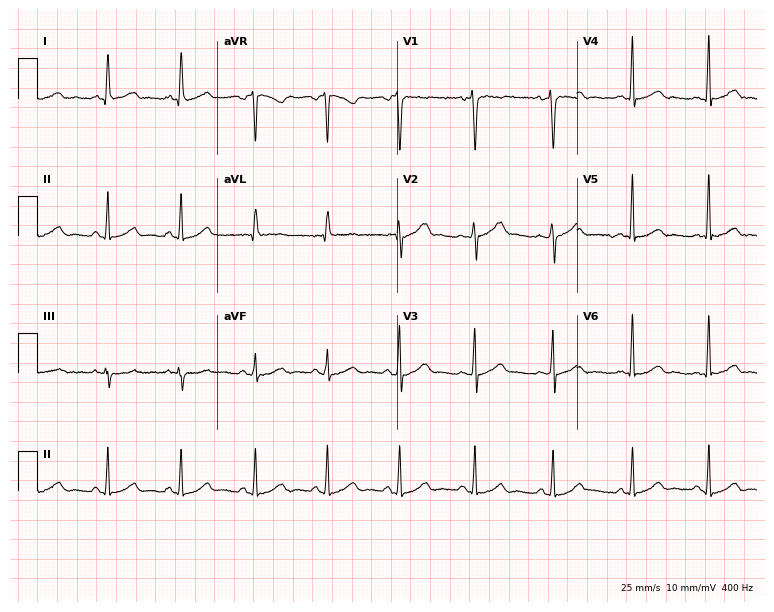
Electrocardiogram (7.3-second recording at 400 Hz), a 28-year-old female. Overall reading on record: normal ECG.